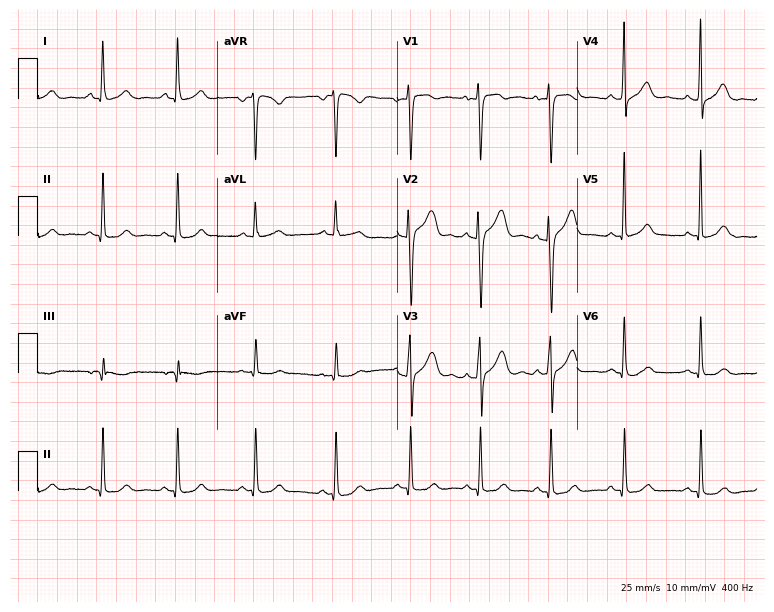
12-lead ECG from a female patient, 30 years old. Screened for six findings — first-degree AV block, right bundle branch block (RBBB), left bundle branch block (LBBB), sinus bradycardia, atrial fibrillation (AF), sinus tachycardia — none is recorded. Only these six findings were labelled.